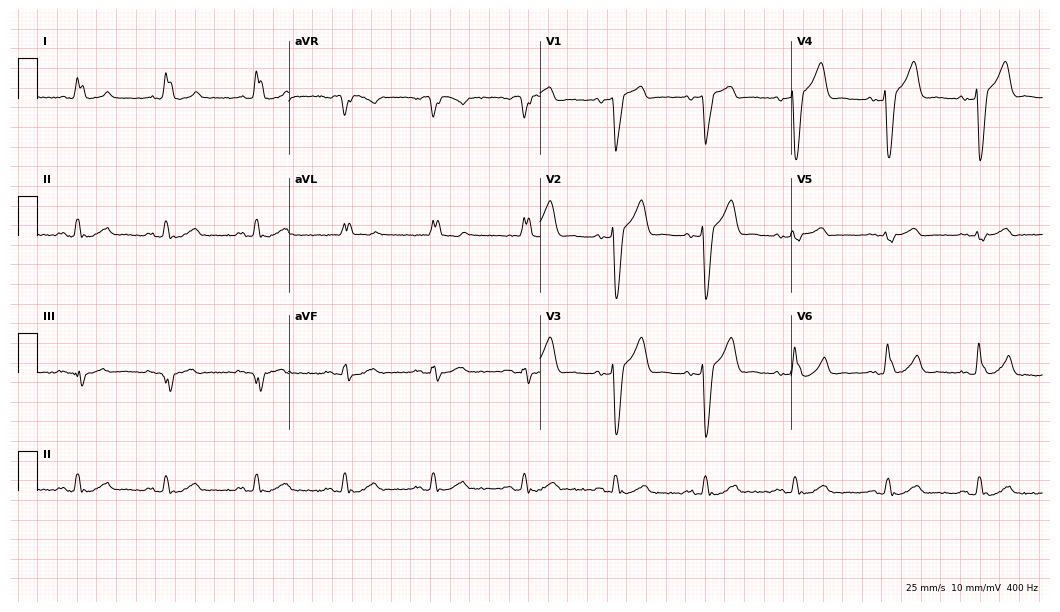
Standard 12-lead ECG recorded from a male, 72 years old (10.2-second recording at 400 Hz). The tracing shows left bundle branch block.